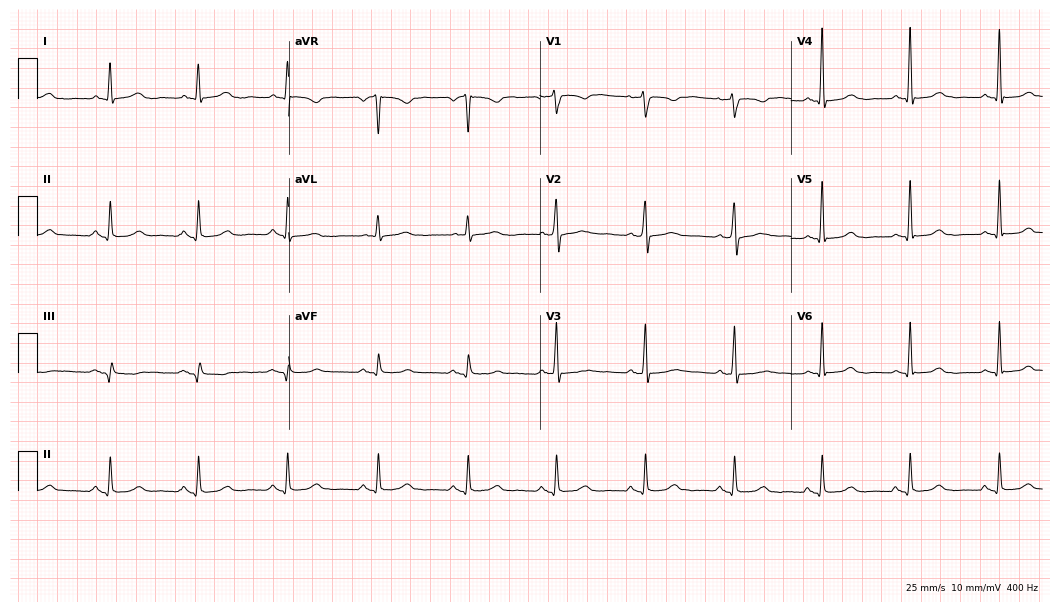
12-lead ECG from a female patient, 58 years old. Labelled as a normal ECG.